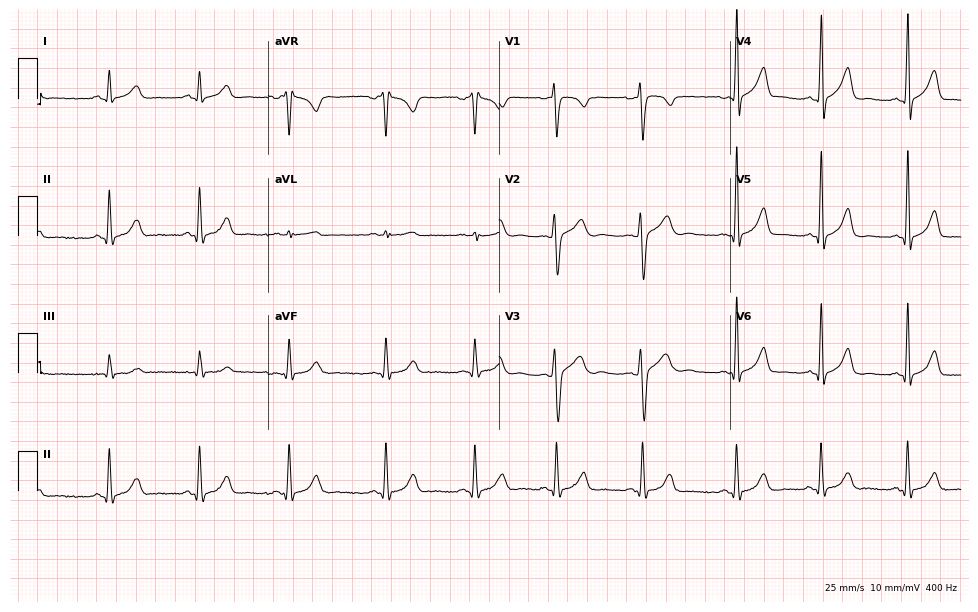
ECG (9.4-second recording at 400 Hz) — a male, 19 years old. Labelled as a normal ECG.